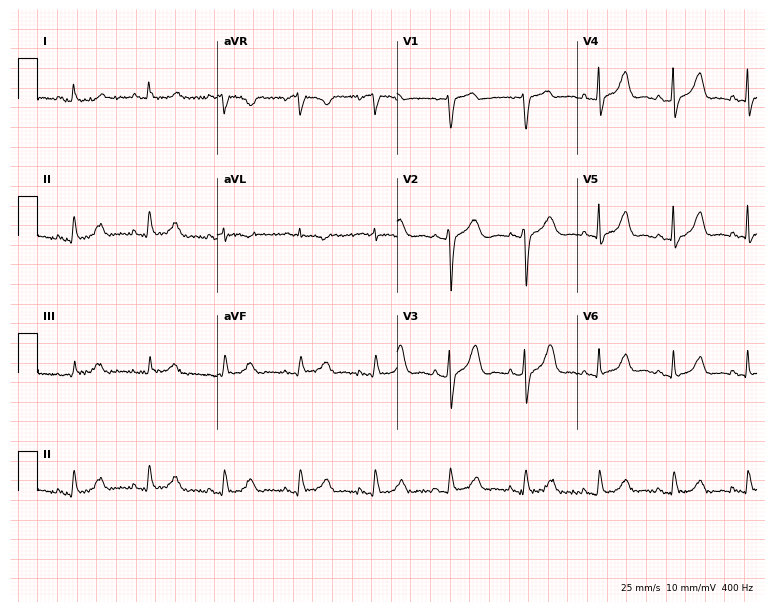
Electrocardiogram (7.3-second recording at 400 Hz), an 80-year-old female patient. Overall reading on record: normal ECG.